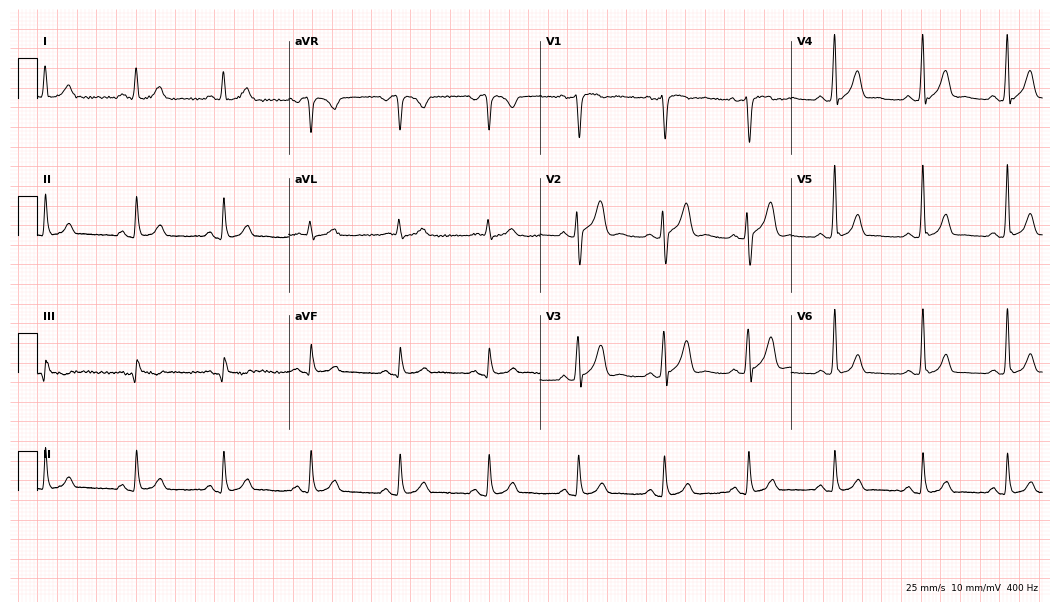
Standard 12-lead ECG recorded from a male, 35 years old. Read as a normal ECG.